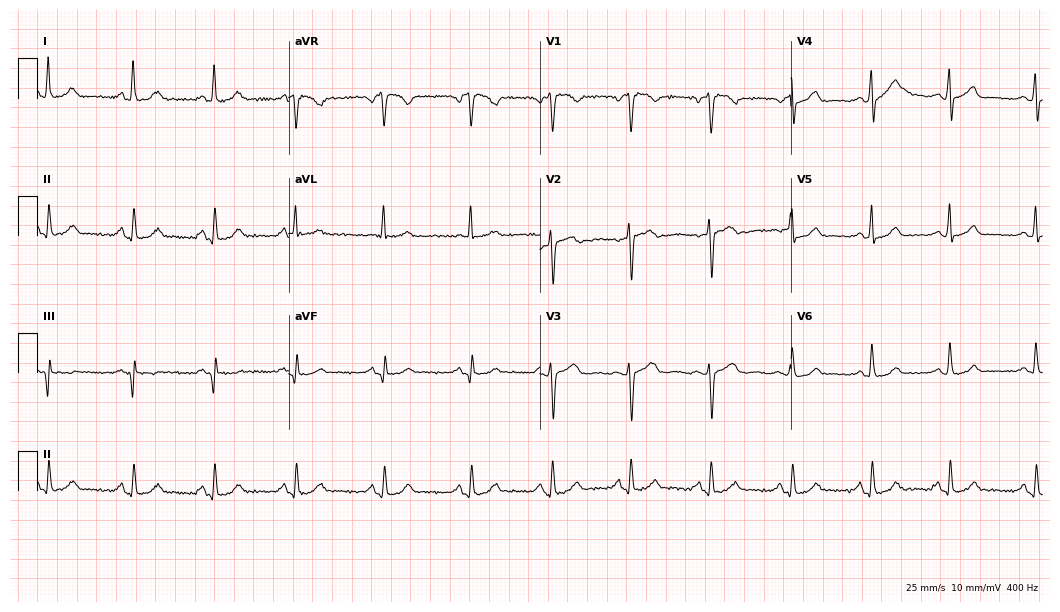
Resting 12-lead electrocardiogram (10.2-second recording at 400 Hz). Patient: a 41-year-old female. Read as a normal ECG.